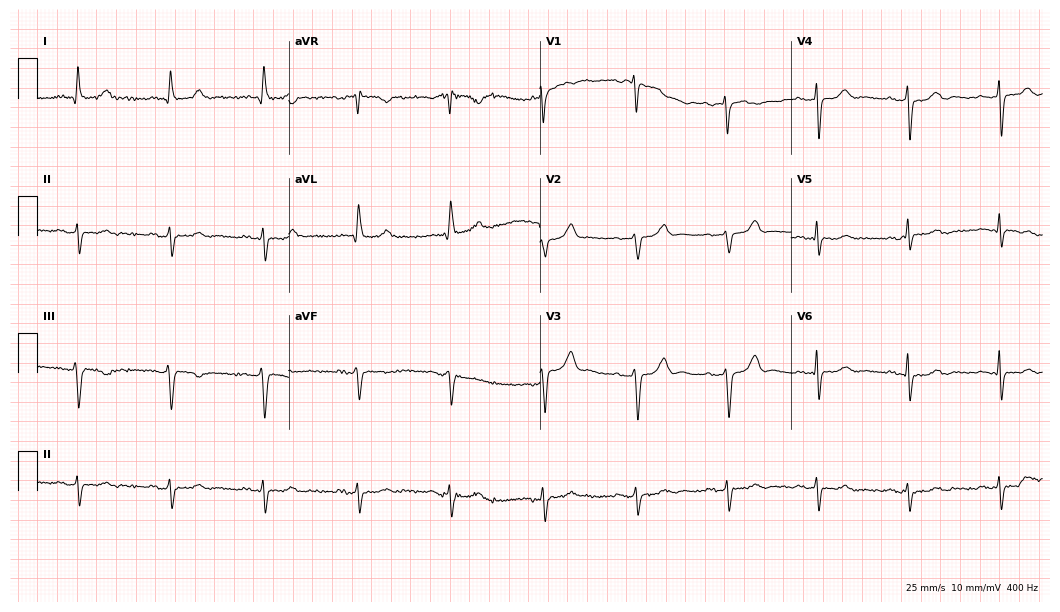
Standard 12-lead ECG recorded from a 79-year-old male. None of these six findings is recorded: first-degree AV block, right bundle branch block, left bundle branch block, sinus bradycardia, atrial fibrillation, sinus tachycardia. Only these six findings were labelled.